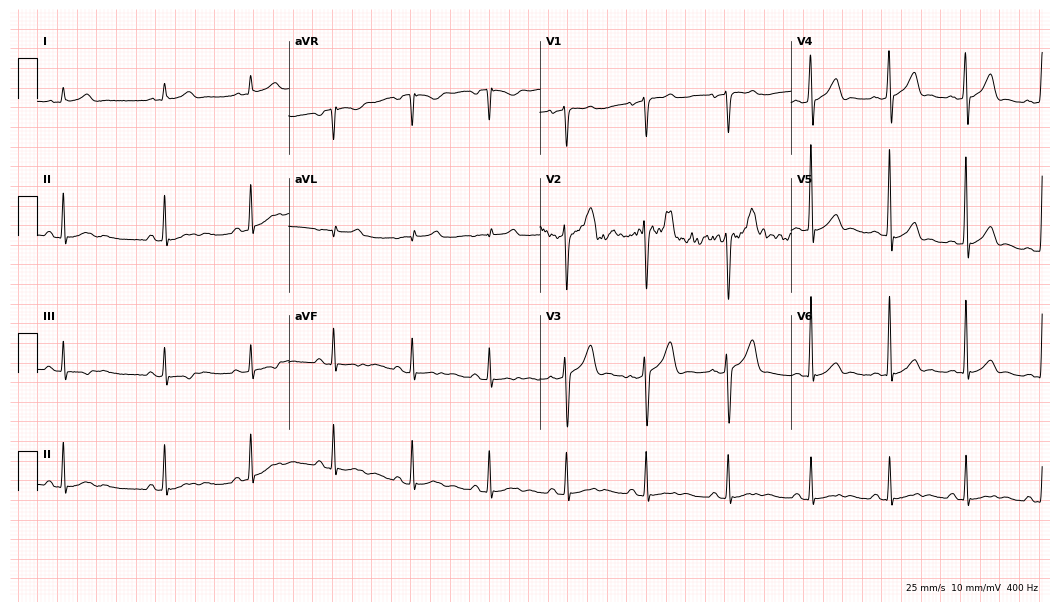
12-lead ECG from a 45-year-old male (10.2-second recording at 400 Hz). No first-degree AV block, right bundle branch block (RBBB), left bundle branch block (LBBB), sinus bradycardia, atrial fibrillation (AF) or sinus tachycardia recorded for this tracing.